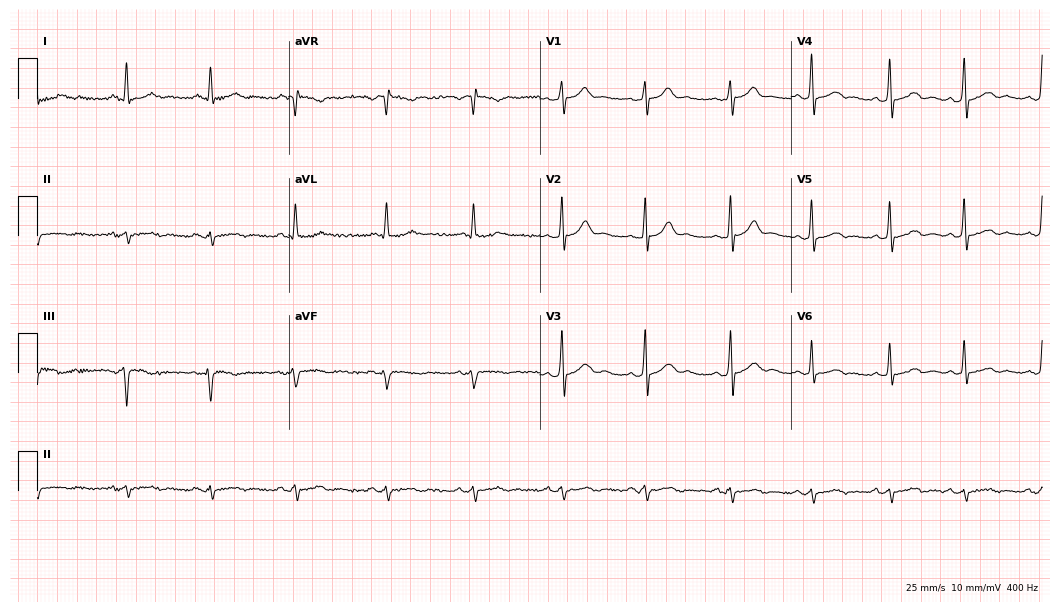
Standard 12-lead ECG recorded from a male patient, 44 years old. None of these six findings is recorded: first-degree AV block, right bundle branch block, left bundle branch block, sinus bradycardia, atrial fibrillation, sinus tachycardia.